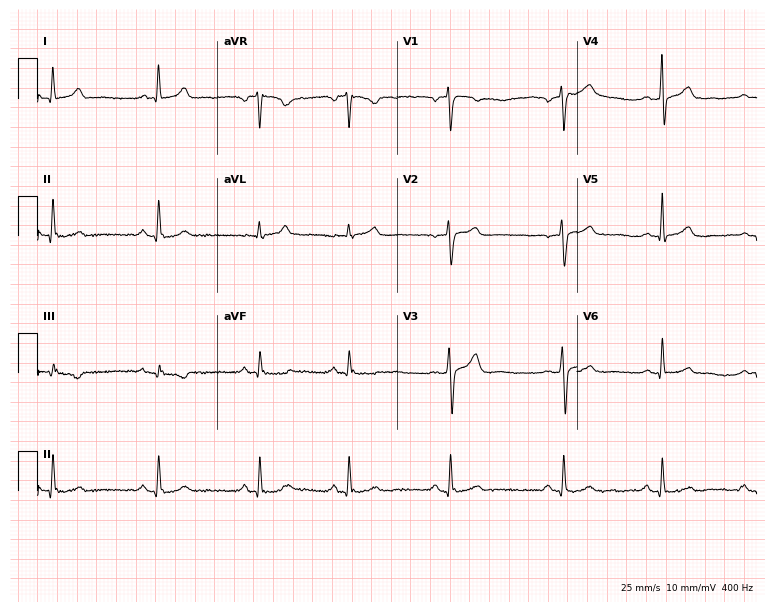
ECG (7.3-second recording at 400 Hz) — a female, 39 years old. Labelled as a normal ECG.